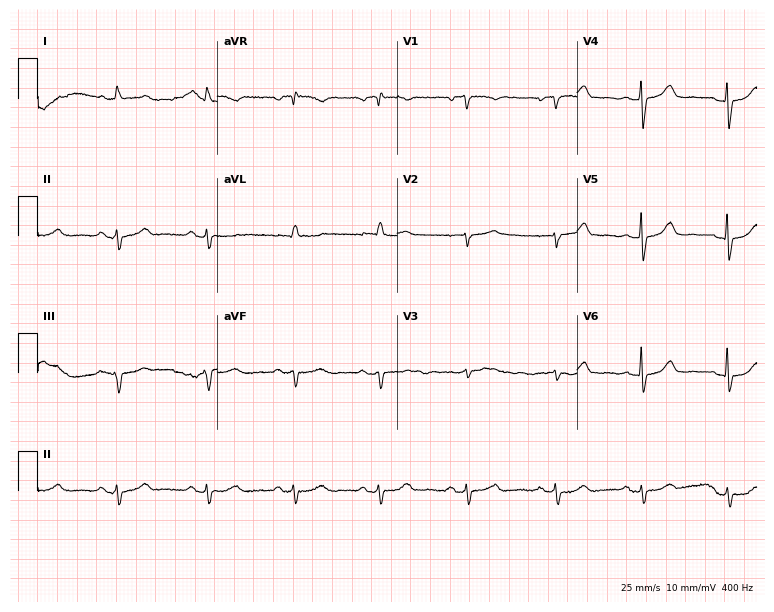
12-lead ECG (7.3-second recording at 400 Hz) from a 79-year-old female patient. Screened for six findings — first-degree AV block, right bundle branch block, left bundle branch block, sinus bradycardia, atrial fibrillation, sinus tachycardia — none is recorded.